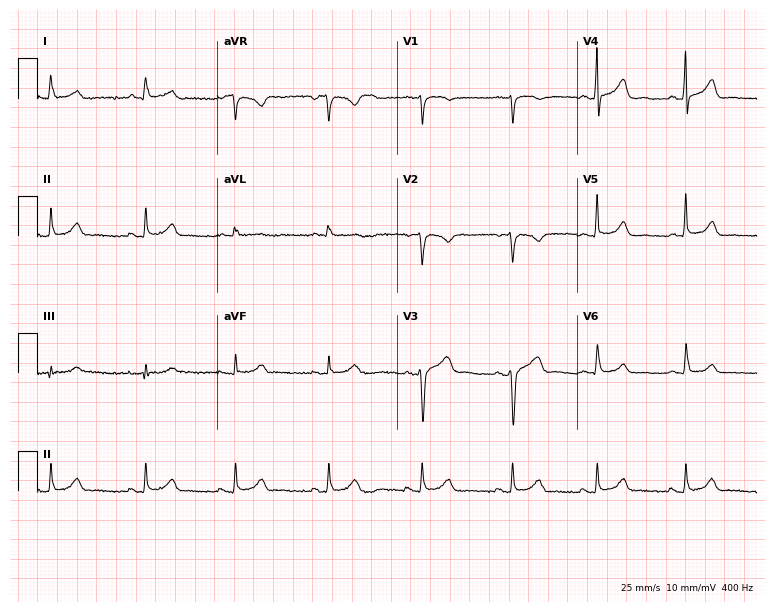
12-lead ECG from a 52-year-old woman. Recorded interpretation: within normal limits.